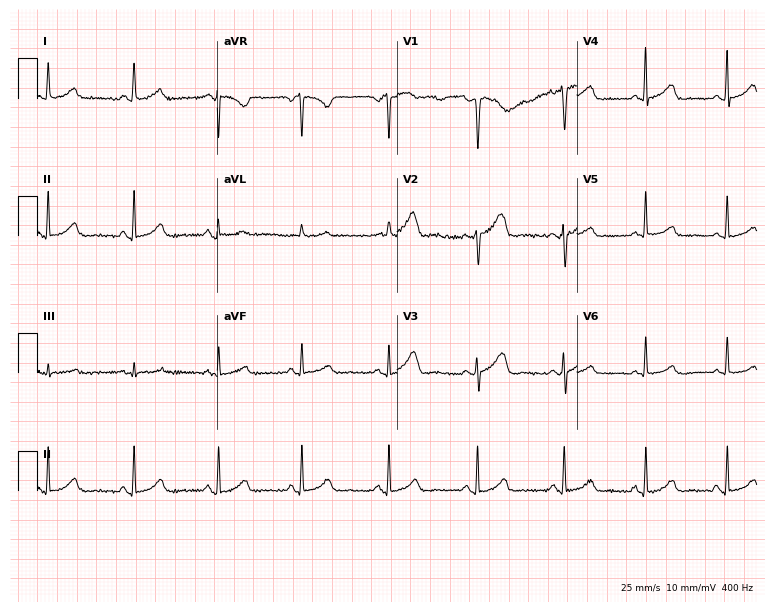
Standard 12-lead ECG recorded from a 45-year-old female patient (7.3-second recording at 400 Hz). Read as a normal ECG.